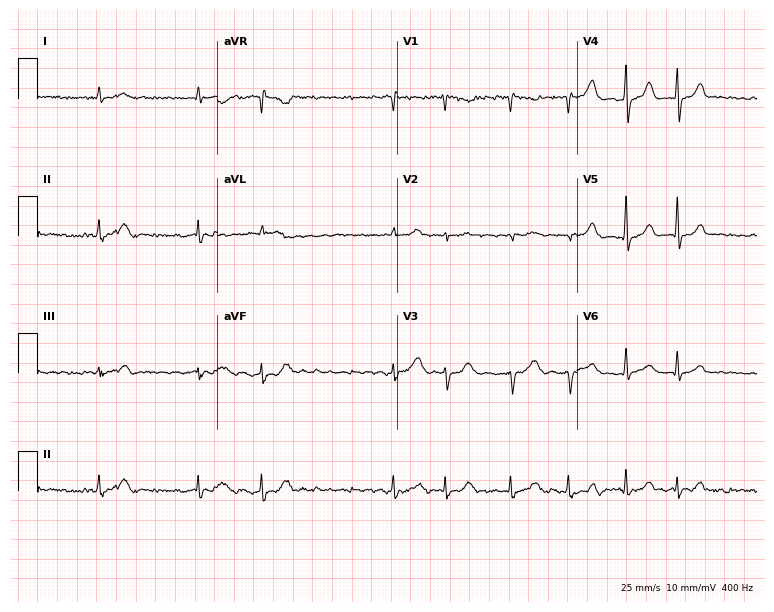
Resting 12-lead electrocardiogram (7.3-second recording at 400 Hz). Patient: a male, 57 years old. The tracing shows atrial fibrillation (AF).